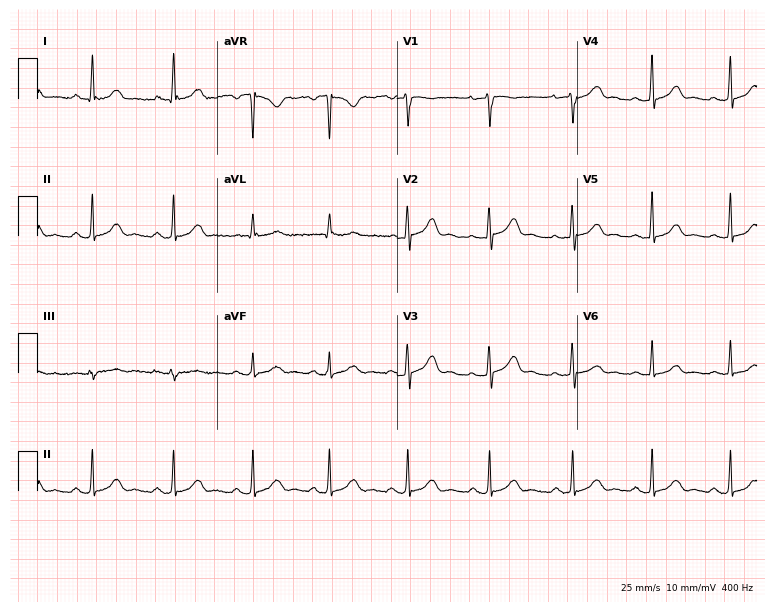
12-lead ECG (7.3-second recording at 400 Hz) from a 32-year-old female. Labelled as a normal ECG.